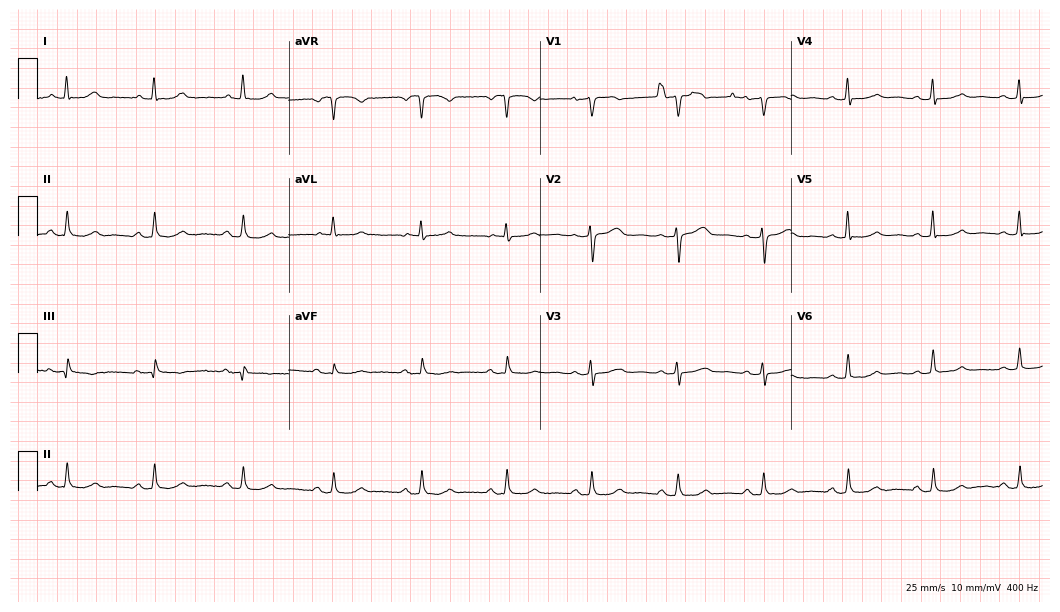
12-lead ECG from a 59-year-old female patient. Recorded interpretation: within normal limits.